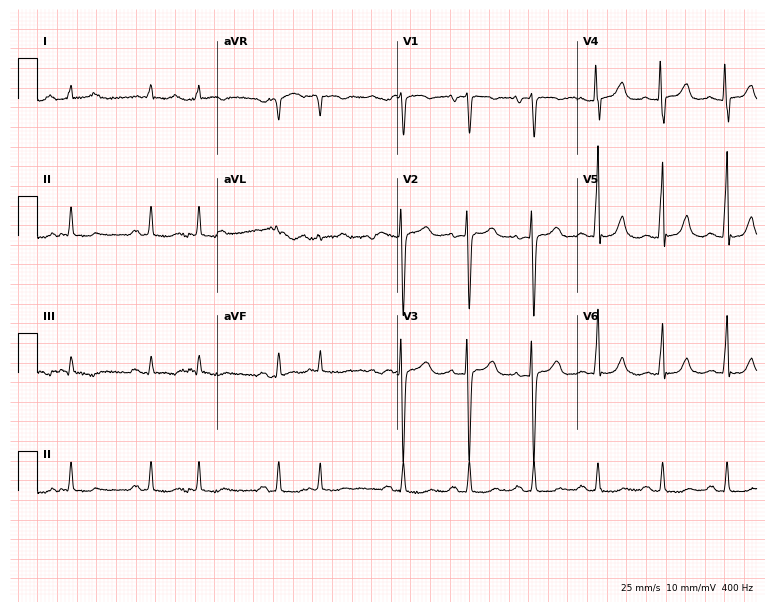
Resting 12-lead electrocardiogram (7.3-second recording at 400 Hz). Patient: a male, 84 years old. None of these six findings is recorded: first-degree AV block, right bundle branch block, left bundle branch block, sinus bradycardia, atrial fibrillation, sinus tachycardia. Other findings, if any, are not listed.